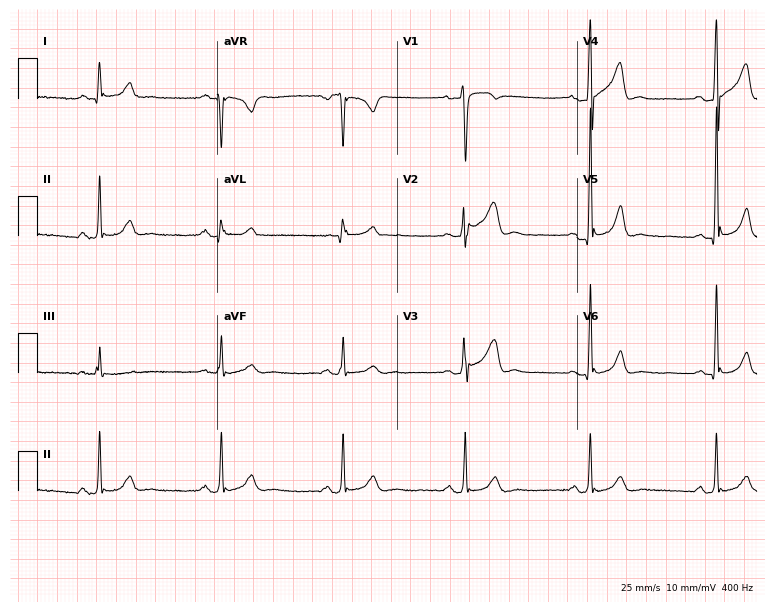
12-lead ECG (7.3-second recording at 400 Hz) from a man, 39 years old. Findings include sinus bradycardia (a sinus rate of 50 beats per minute or less).